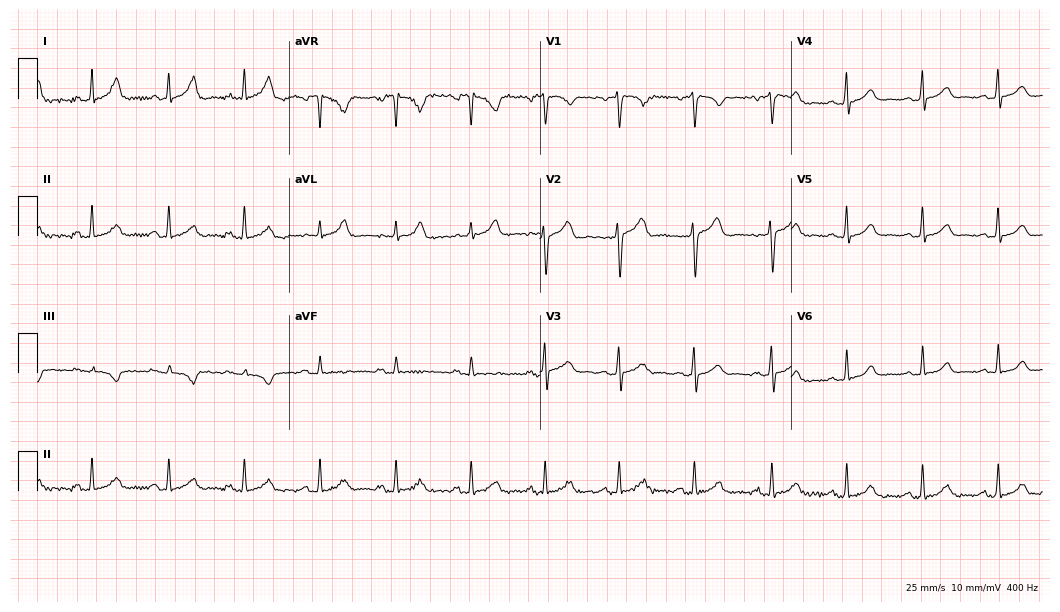
12-lead ECG (10.2-second recording at 400 Hz) from a 26-year-old female patient. Labelled as a normal ECG.